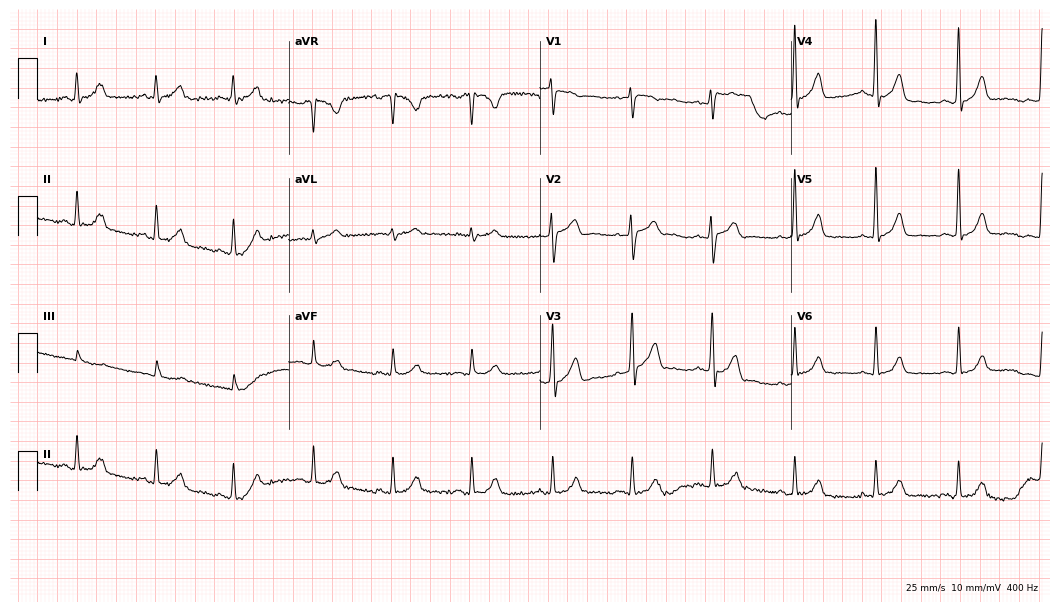
12-lead ECG from a 57-year-old male. Labelled as a normal ECG.